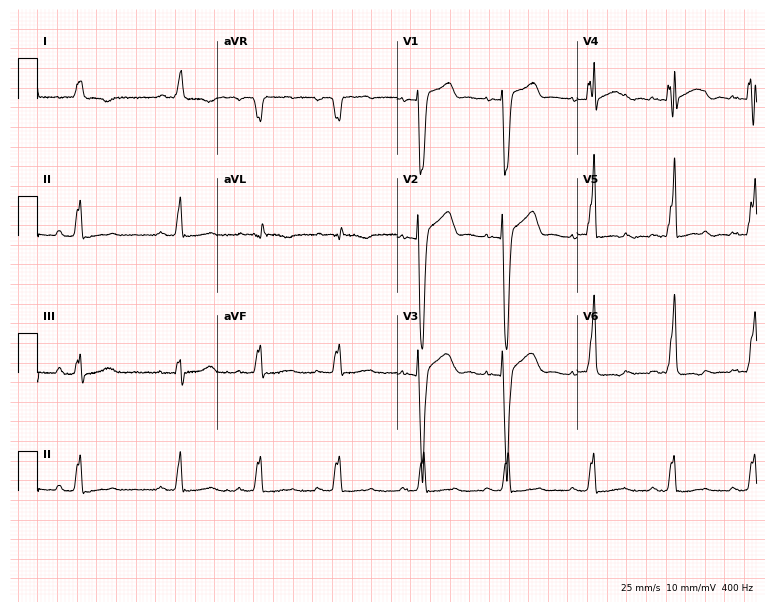
12-lead ECG from a 73-year-old male patient. No first-degree AV block, right bundle branch block (RBBB), left bundle branch block (LBBB), sinus bradycardia, atrial fibrillation (AF) or sinus tachycardia recorded for this tracing. Findings outside these six are not listed.